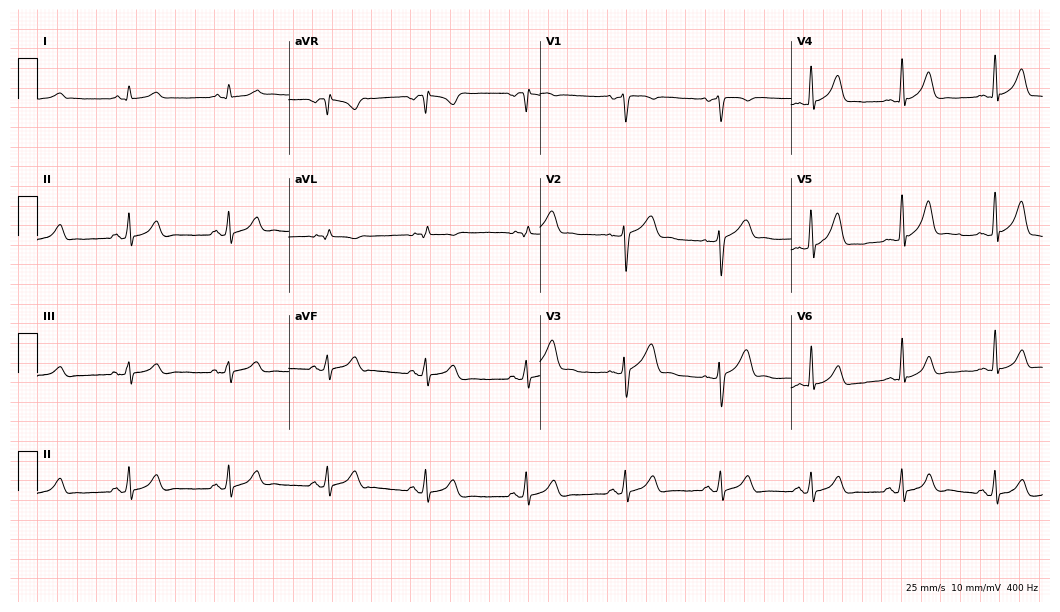
12-lead ECG from a man, 46 years old. Recorded interpretation: within normal limits.